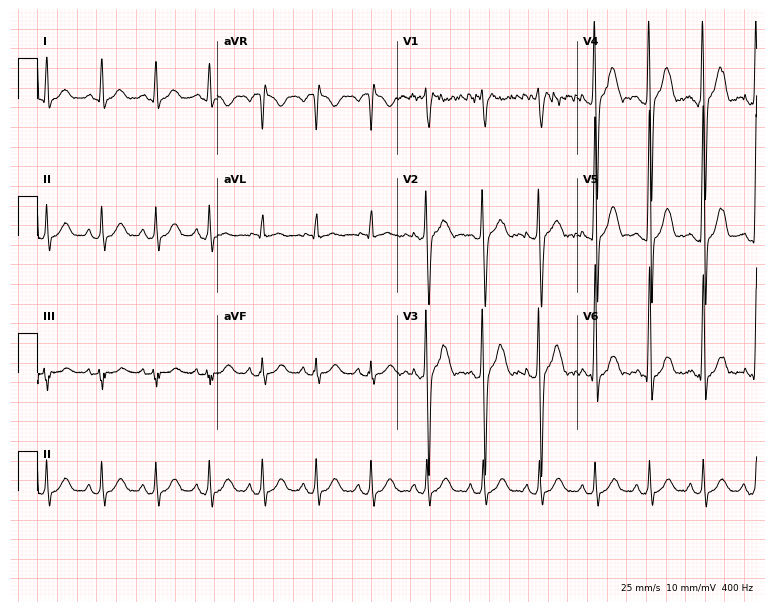
Standard 12-lead ECG recorded from a male patient, 24 years old (7.3-second recording at 400 Hz). The tracing shows sinus tachycardia (a sinus rate of 100 beats per minute or more).